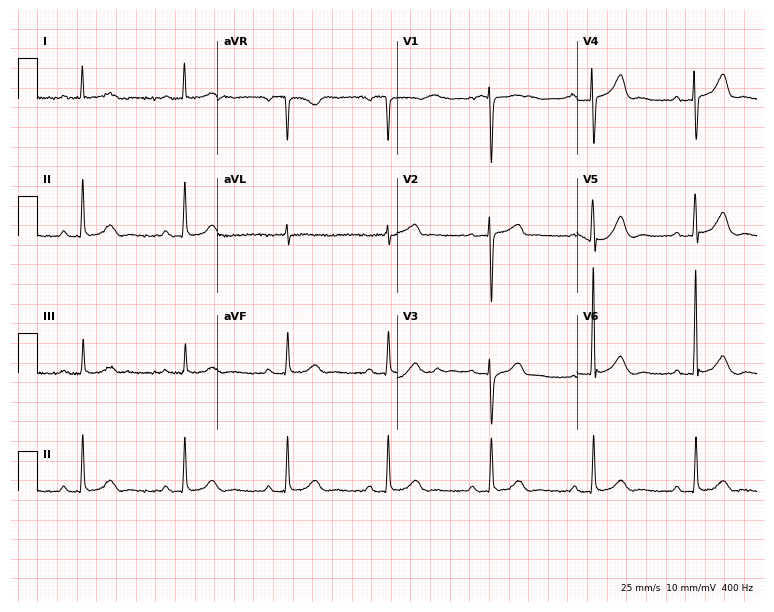
12-lead ECG from an 83-year-old male patient. Labelled as a normal ECG.